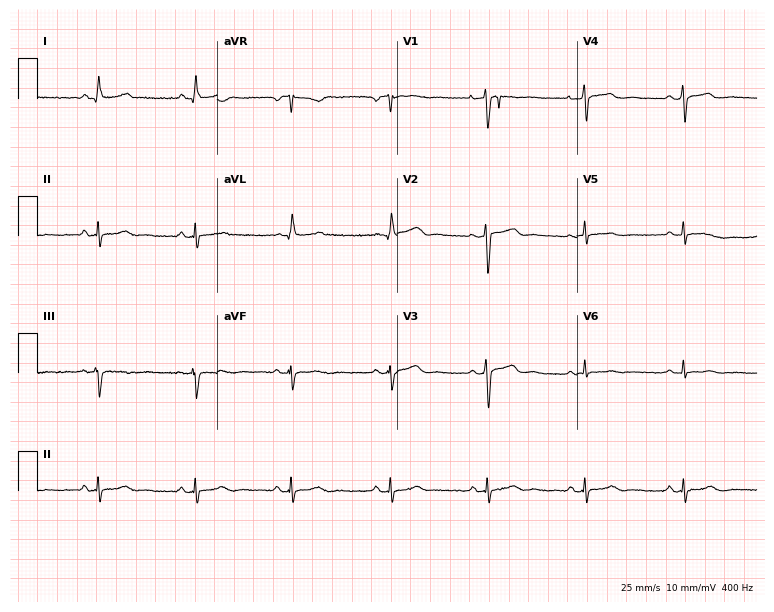
Resting 12-lead electrocardiogram. Patient: a female, 39 years old. None of these six findings is recorded: first-degree AV block, right bundle branch block, left bundle branch block, sinus bradycardia, atrial fibrillation, sinus tachycardia. Other findings, if any, are not listed.